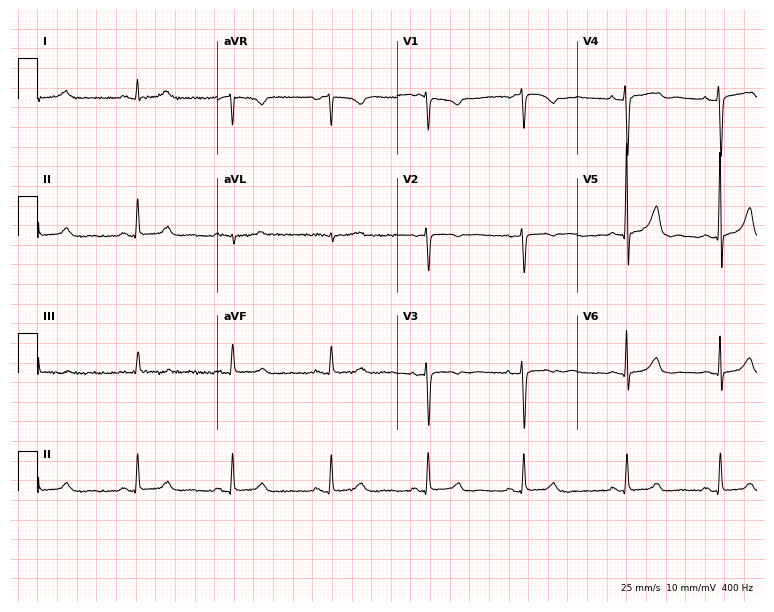
12-lead ECG from a female, 48 years old (7.3-second recording at 400 Hz). No first-degree AV block, right bundle branch block (RBBB), left bundle branch block (LBBB), sinus bradycardia, atrial fibrillation (AF) or sinus tachycardia recorded for this tracing.